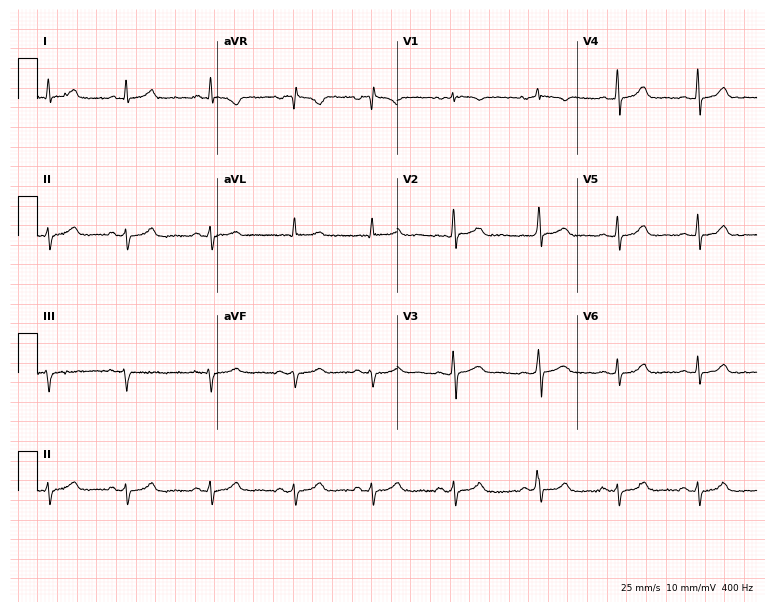
Standard 12-lead ECG recorded from a woman, 19 years old (7.3-second recording at 400 Hz). None of these six findings is recorded: first-degree AV block, right bundle branch block, left bundle branch block, sinus bradycardia, atrial fibrillation, sinus tachycardia.